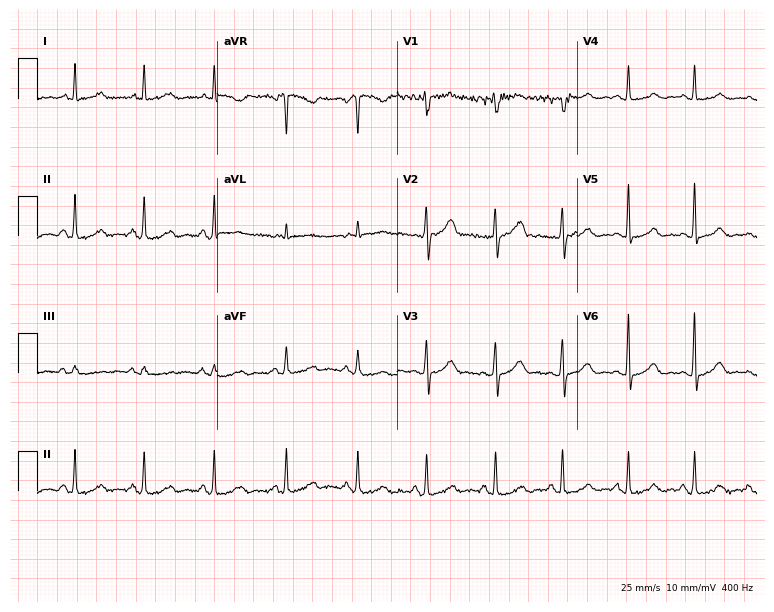
Electrocardiogram, a female patient, 47 years old. Overall reading on record: normal ECG.